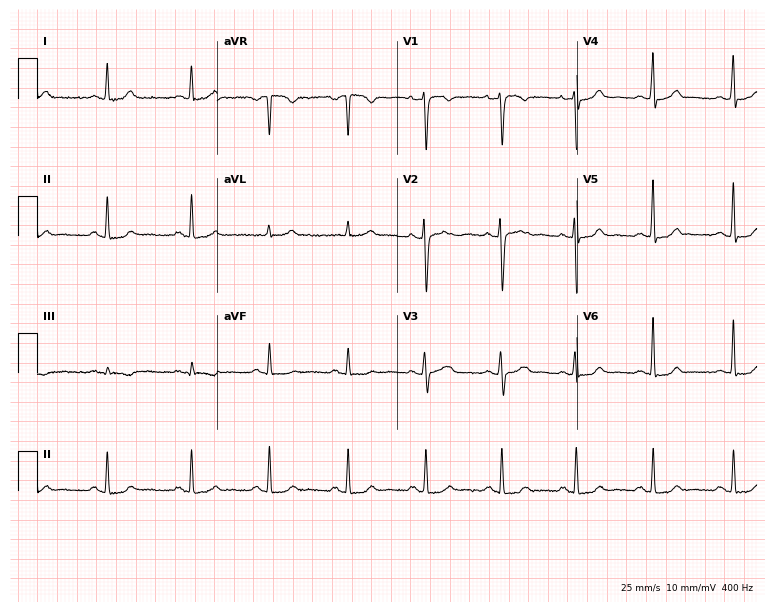
Standard 12-lead ECG recorded from a 45-year-old female patient. Read as a normal ECG.